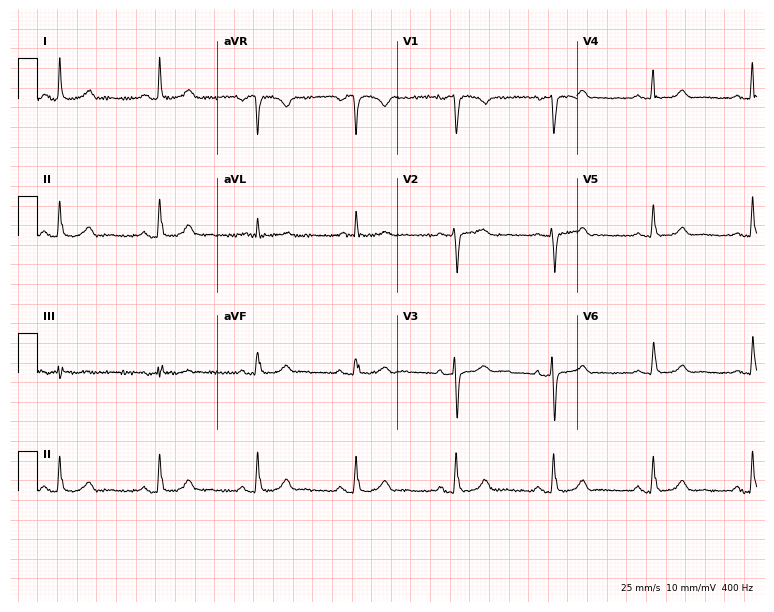
ECG — a 73-year-old woman. Labelled as a normal ECG.